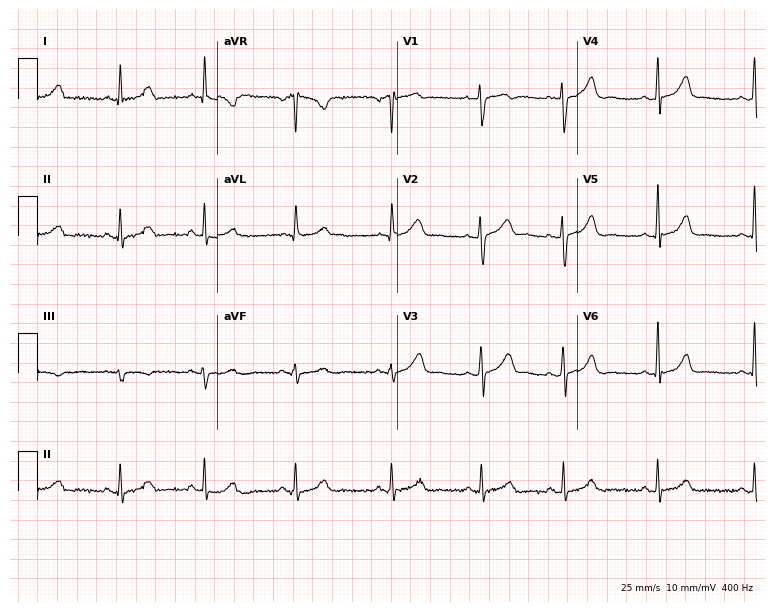
Resting 12-lead electrocardiogram (7.3-second recording at 400 Hz). Patient: a female, 38 years old. Read as a normal ECG.